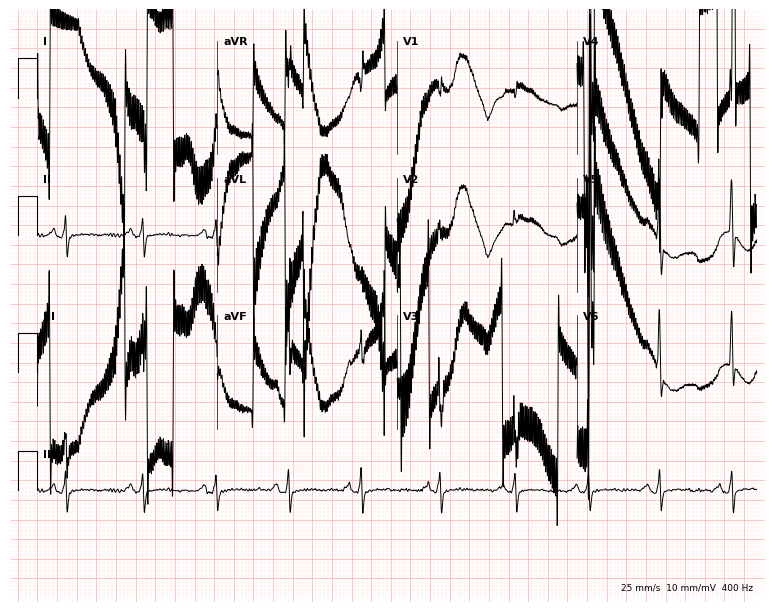
12-lead ECG from a man, 50 years old. Screened for six findings — first-degree AV block, right bundle branch block, left bundle branch block, sinus bradycardia, atrial fibrillation, sinus tachycardia — none is recorded.